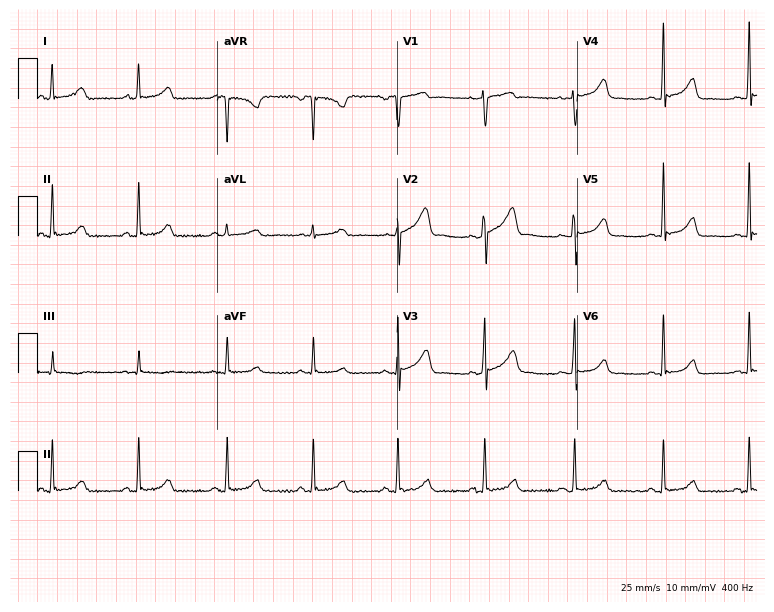
ECG (7.3-second recording at 400 Hz) — a 25-year-old woman. Labelled as a normal ECG.